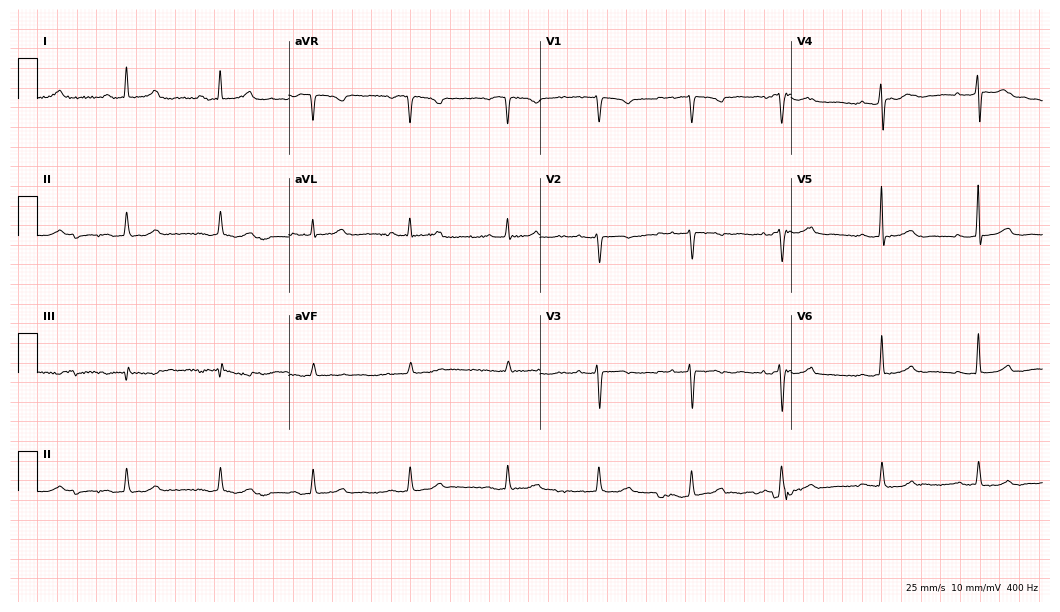
12-lead ECG from a woman, 66 years old. No first-degree AV block, right bundle branch block, left bundle branch block, sinus bradycardia, atrial fibrillation or sinus tachycardia recorded for this tracing.